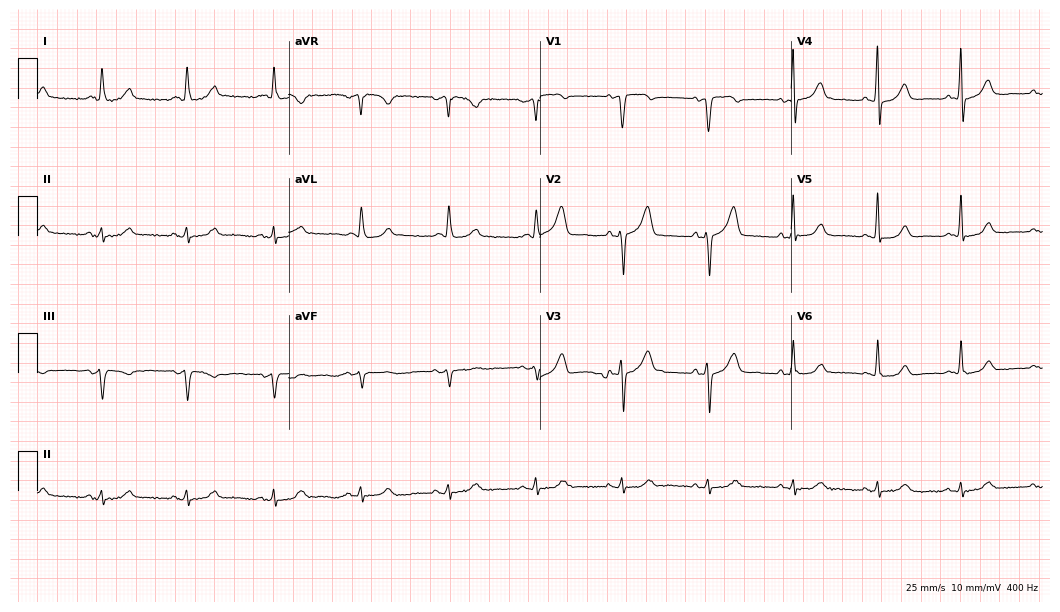
Resting 12-lead electrocardiogram (10.2-second recording at 400 Hz). Patient: an 82-year-old male. Read as a normal ECG.